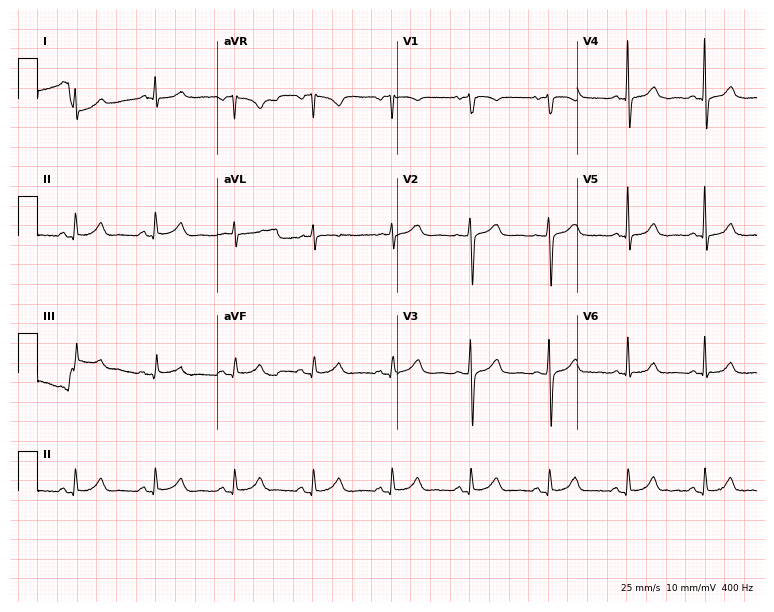
Standard 12-lead ECG recorded from a woman, 71 years old (7.3-second recording at 400 Hz). None of these six findings is recorded: first-degree AV block, right bundle branch block, left bundle branch block, sinus bradycardia, atrial fibrillation, sinus tachycardia.